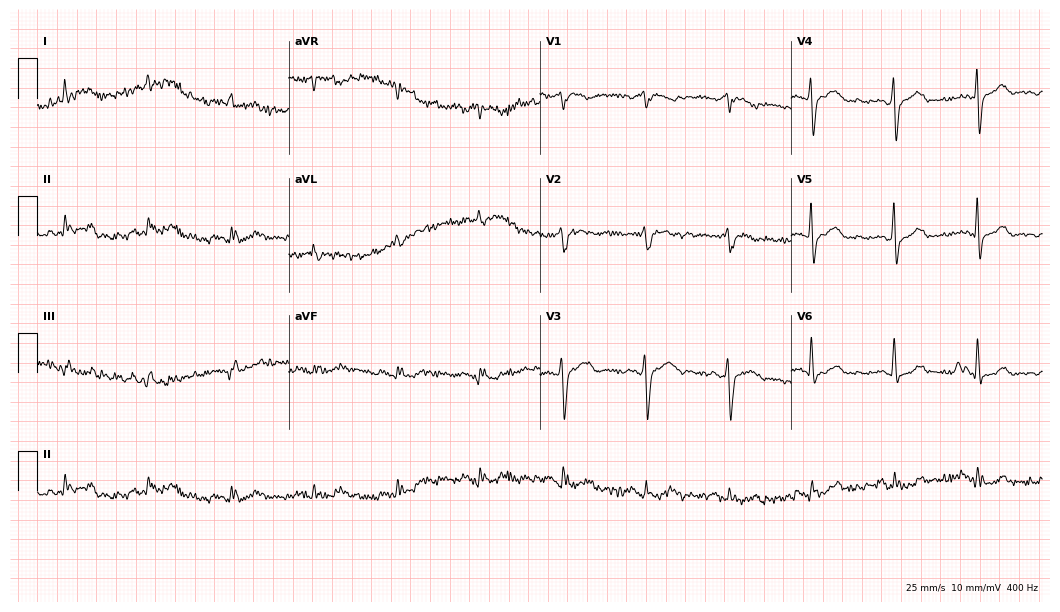
Standard 12-lead ECG recorded from an 80-year-old male. None of these six findings is recorded: first-degree AV block, right bundle branch block, left bundle branch block, sinus bradycardia, atrial fibrillation, sinus tachycardia. Findings outside these six are not listed.